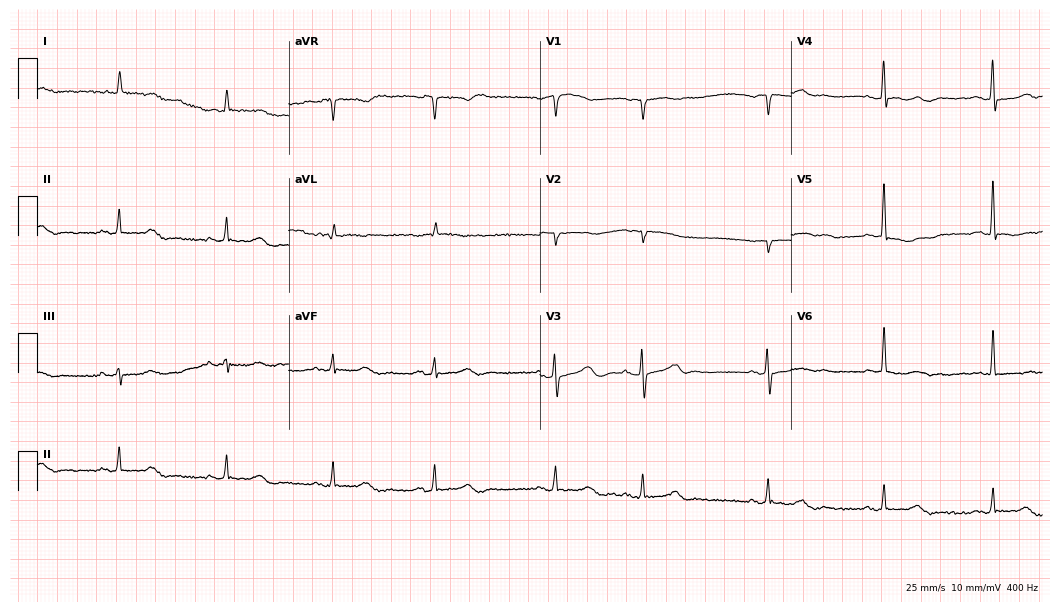
Electrocardiogram (10.2-second recording at 400 Hz), a 73-year-old woman. Of the six screened findings (first-degree AV block, right bundle branch block (RBBB), left bundle branch block (LBBB), sinus bradycardia, atrial fibrillation (AF), sinus tachycardia), none is recorded.